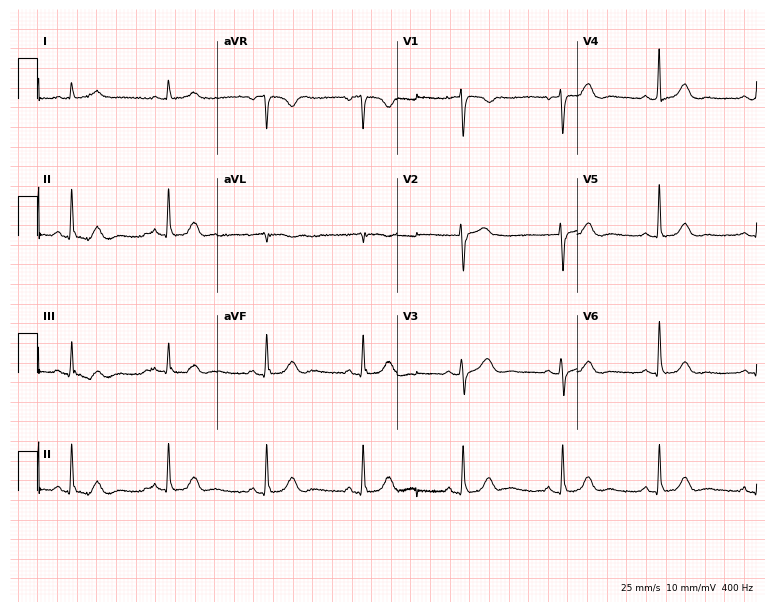
12-lead ECG from a female, 66 years old. Labelled as a normal ECG.